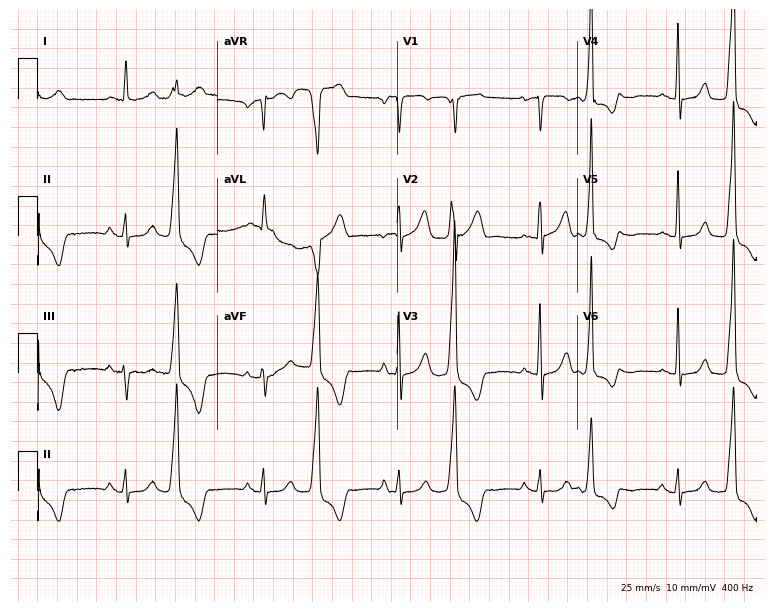
Resting 12-lead electrocardiogram. Patient: a woman, 85 years old. None of these six findings is recorded: first-degree AV block, right bundle branch block, left bundle branch block, sinus bradycardia, atrial fibrillation, sinus tachycardia. Only these six findings were labelled.